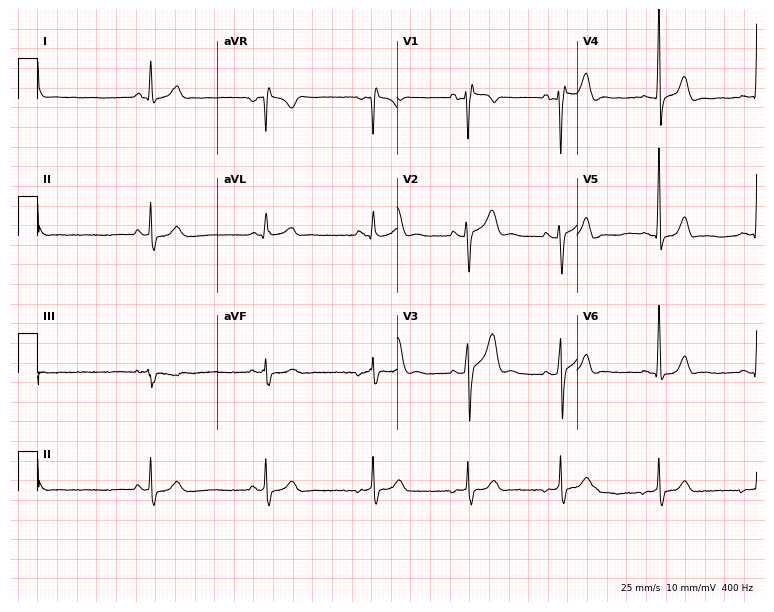
Resting 12-lead electrocardiogram (7.3-second recording at 400 Hz). Patient: a male, 30 years old. Read as a normal ECG.